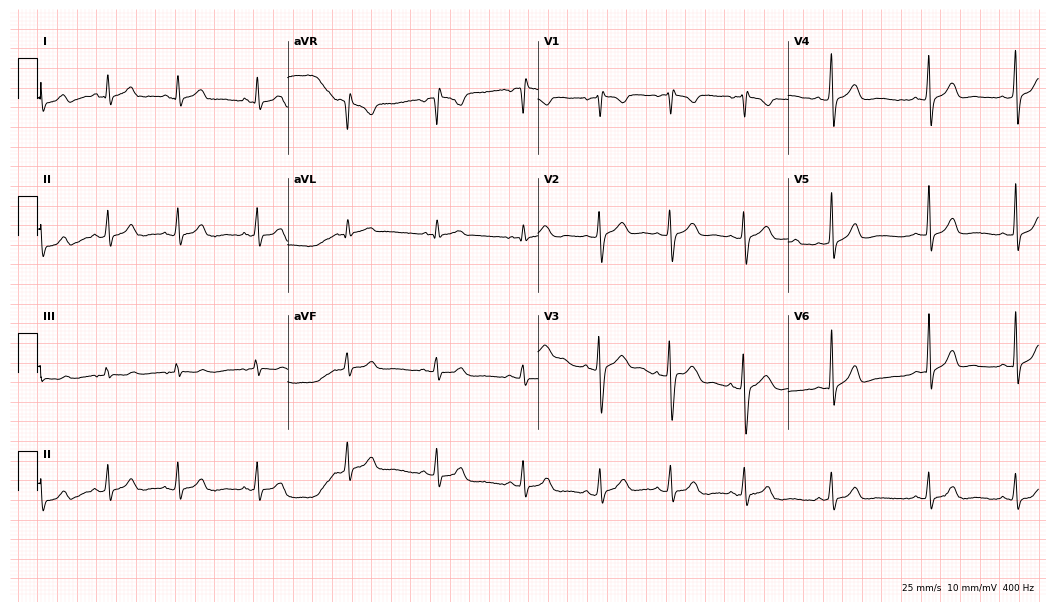
Standard 12-lead ECG recorded from an 18-year-old woman. Read as a normal ECG.